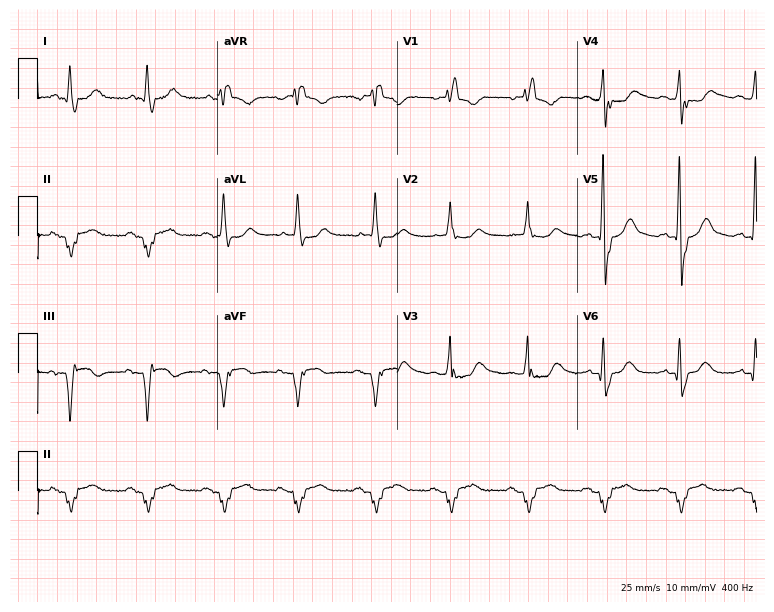
Electrocardiogram, a man, 78 years old. Interpretation includes right bundle branch block.